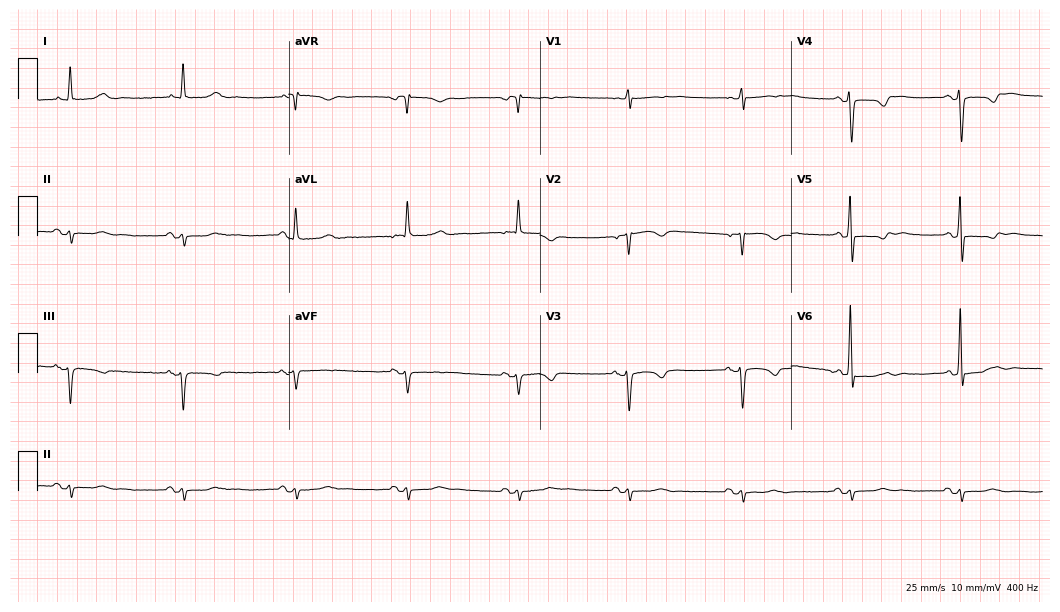
ECG — a female patient, 72 years old. Screened for six findings — first-degree AV block, right bundle branch block, left bundle branch block, sinus bradycardia, atrial fibrillation, sinus tachycardia — none is recorded. Other findings, if any, are not listed.